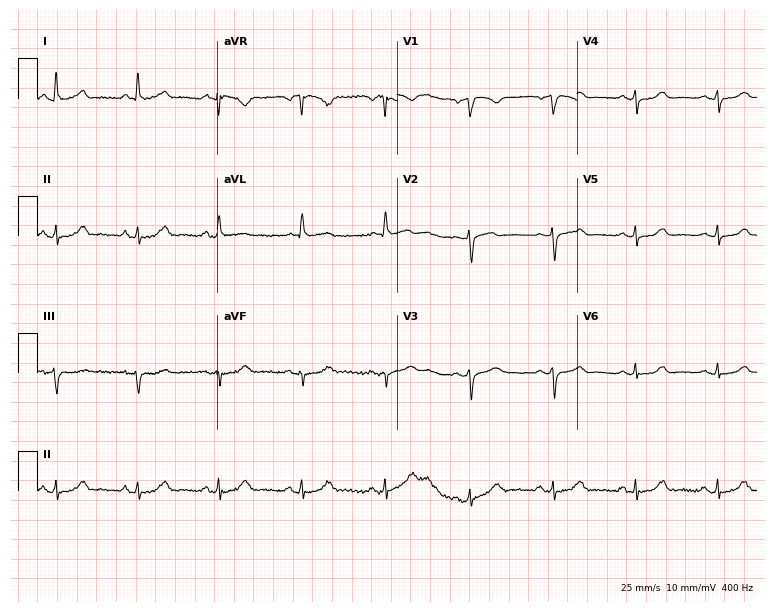
ECG (7.3-second recording at 400 Hz) — a 76-year-old female patient. Labelled as a normal ECG.